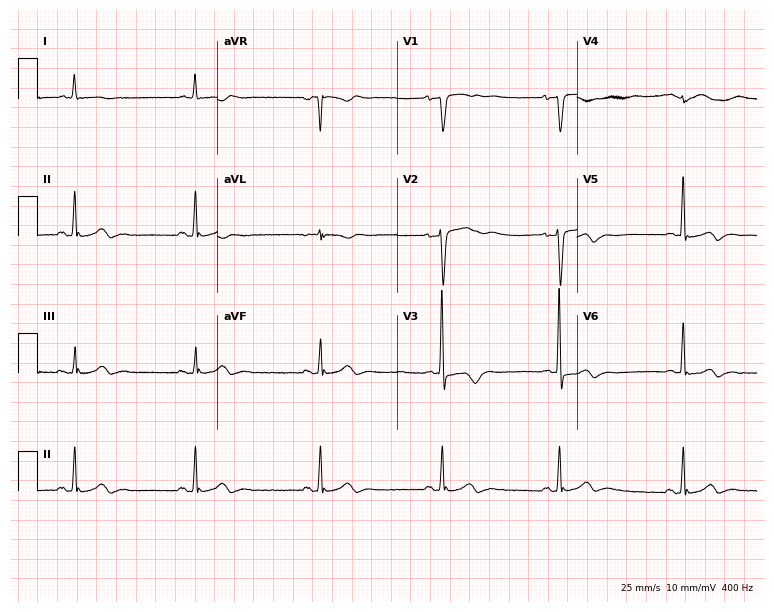
Standard 12-lead ECG recorded from a woman, 78 years old (7.3-second recording at 400 Hz). None of these six findings is recorded: first-degree AV block, right bundle branch block, left bundle branch block, sinus bradycardia, atrial fibrillation, sinus tachycardia.